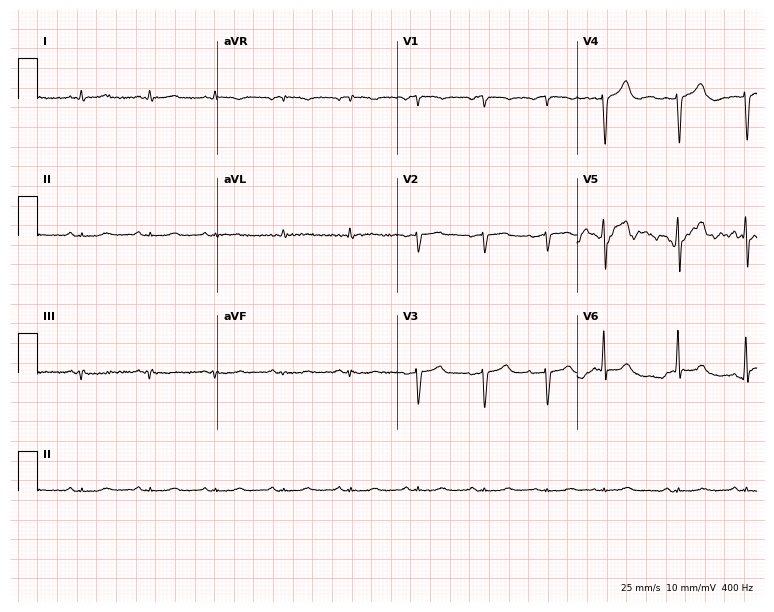
Standard 12-lead ECG recorded from an 84-year-old man. None of these six findings is recorded: first-degree AV block, right bundle branch block, left bundle branch block, sinus bradycardia, atrial fibrillation, sinus tachycardia.